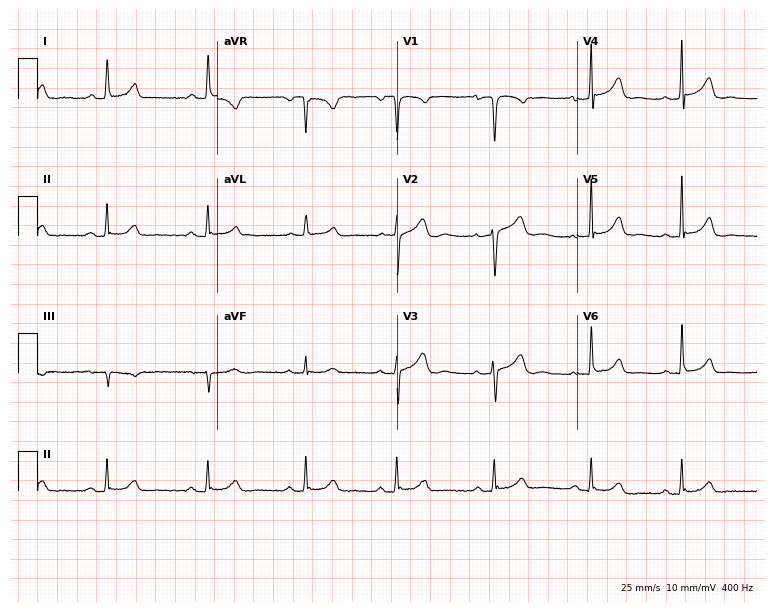
ECG (7.3-second recording at 400 Hz) — a 35-year-old female patient. Labelled as a normal ECG.